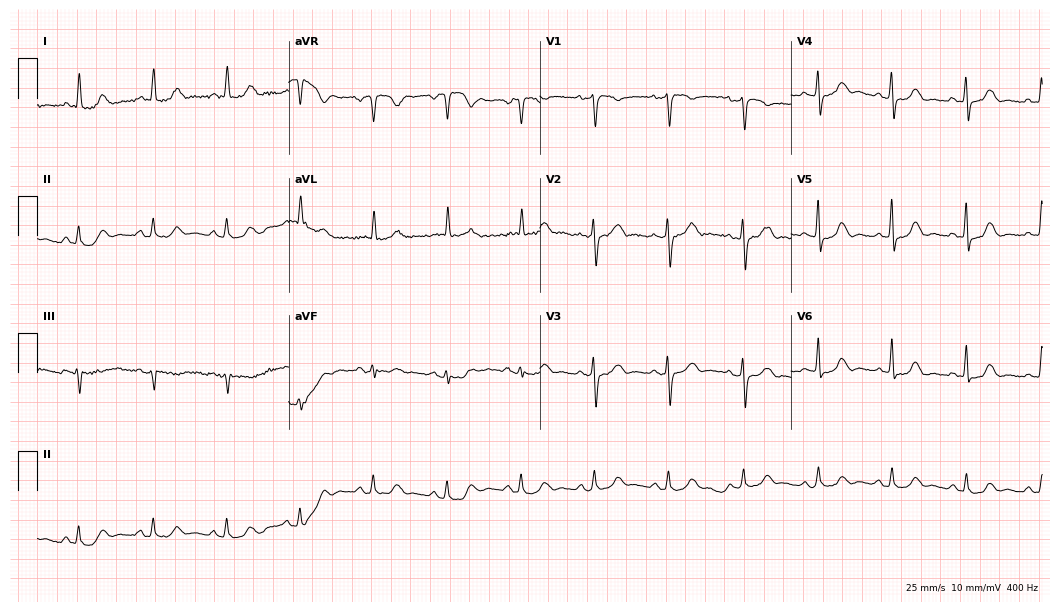
Electrocardiogram (10.2-second recording at 400 Hz), a female patient, 71 years old. Overall reading on record: normal ECG.